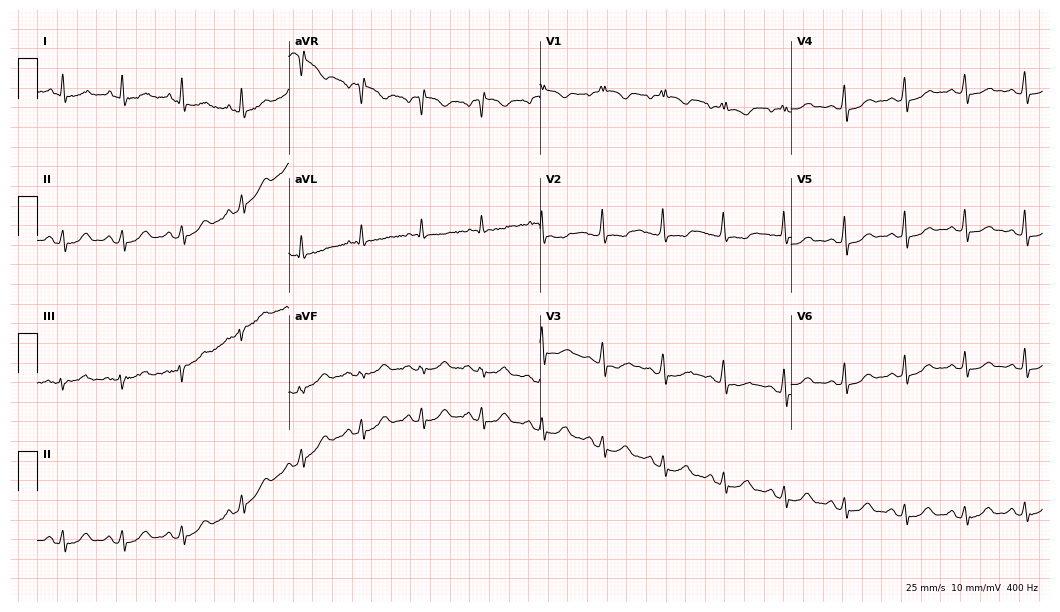
12-lead ECG from a woman, 54 years old. Screened for six findings — first-degree AV block, right bundle branch block, left bundle branch block, sinus bradycardia, atrial fibrillation, sinus tachycardia — none is recorded.